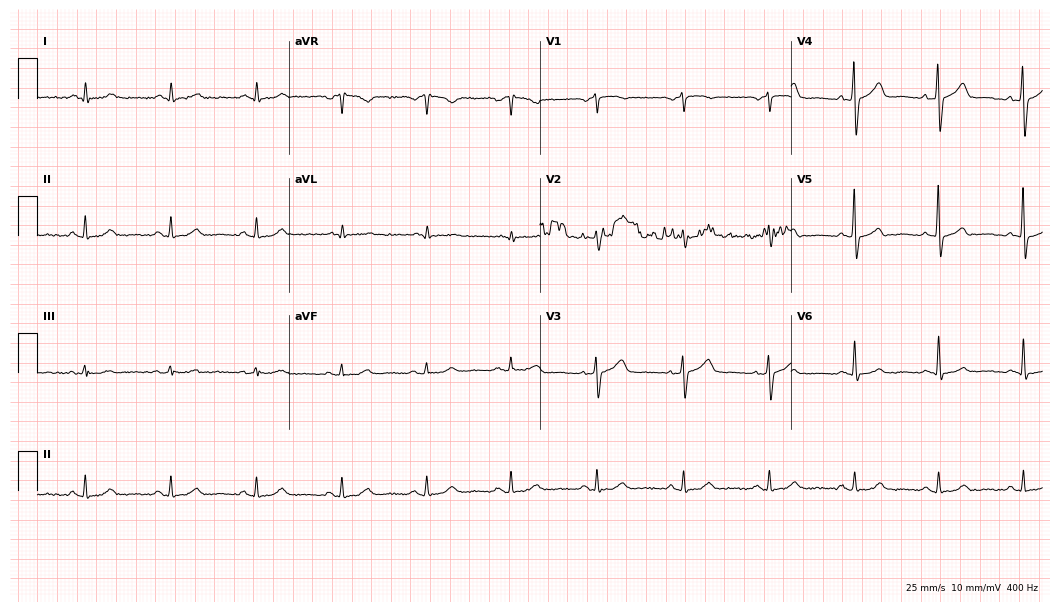
Resting 12-lead electrocardiogram (10.2-second recording at 400 Hz). Patient: a man, 75 years old. None of these six findings is recorded: first-degree AV block, right bundle branch block, left bundle branch block, sinus bradycardia, atrial fibrillation, sinus tachycardia.